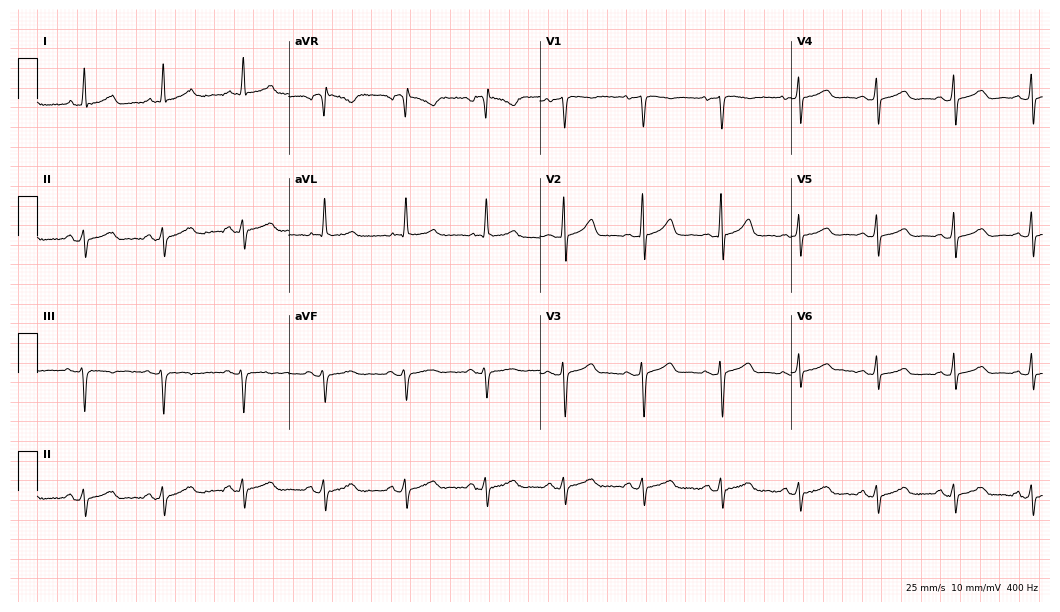
12-lead ECG (10.2-second recording at 400 Hz) from a female patient, 60 years old. Screened for six findings — first-degree AV block, right bundle branch block (RBBB), left bundle branch block (LBBB), sinus bradycardia, atrial fibrillation (AF), sinus tachycardia — none is recorded.